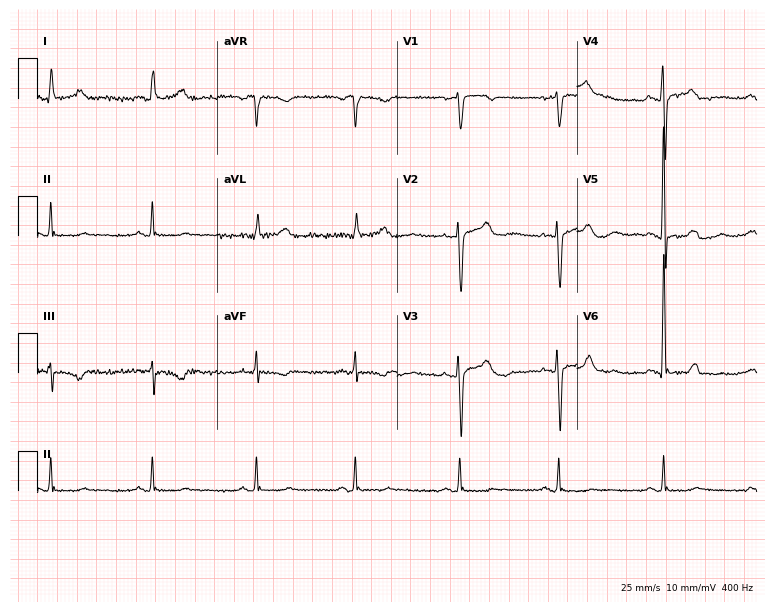
12-lead ECG (7.3-second recording at 400 Hz) from a 72-year-old female. Screened for six findings — first-degree AV block, right bundle branch block, left bundle branch block, sinus bradycardia, atrial fibrillation, sinus tachycardia — none is recorded.